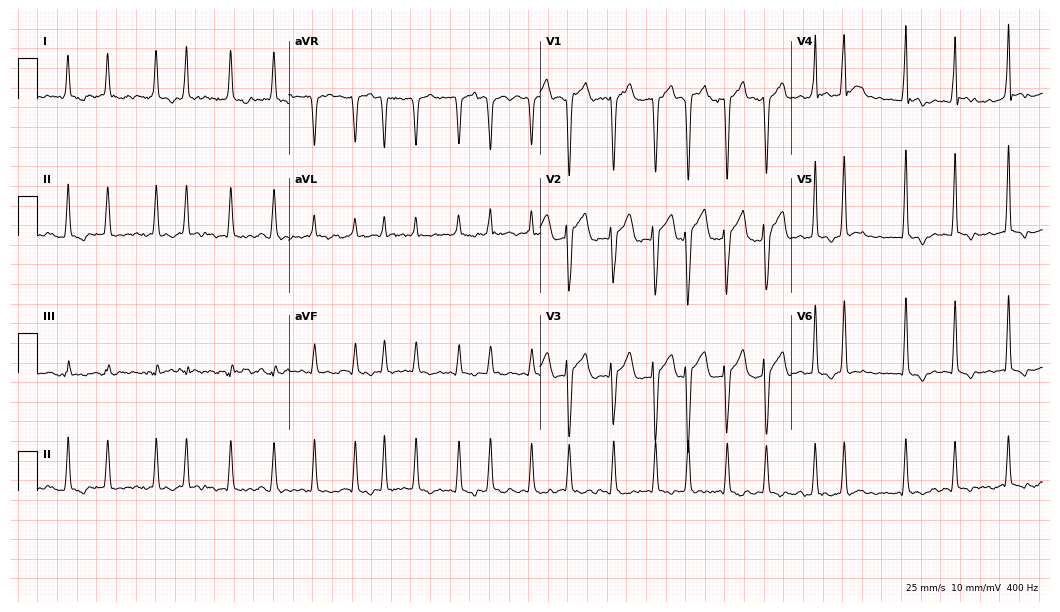
12-lead ECG from a male patient, 40 years old. Shows atrial fibrillation (AF).